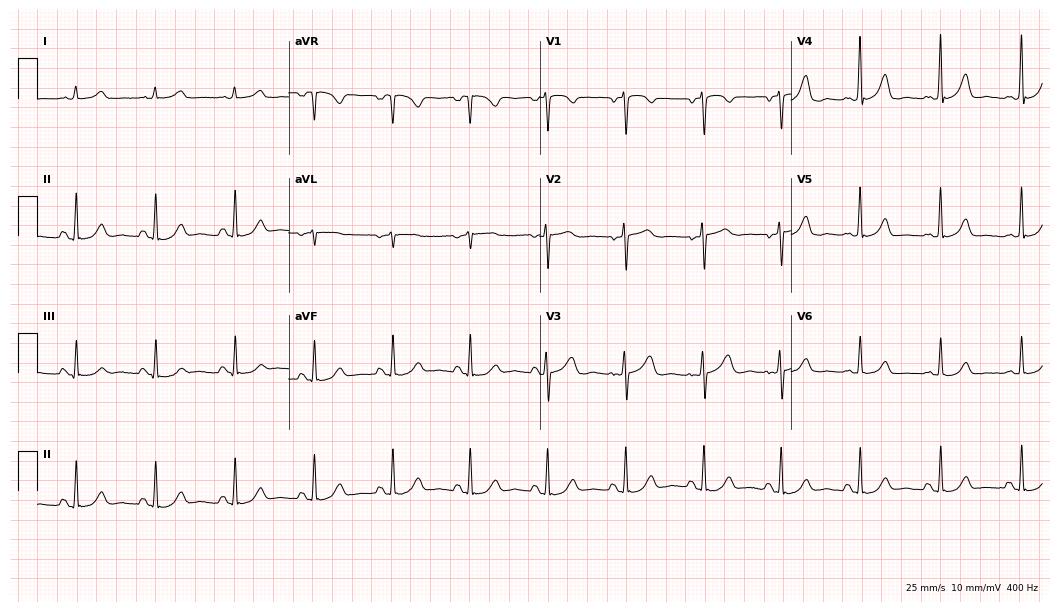
Standard 12-lead ECG recorded from a 54-year-old woman (10.2-second recording at 400 Hz). Read as a normal ECG.